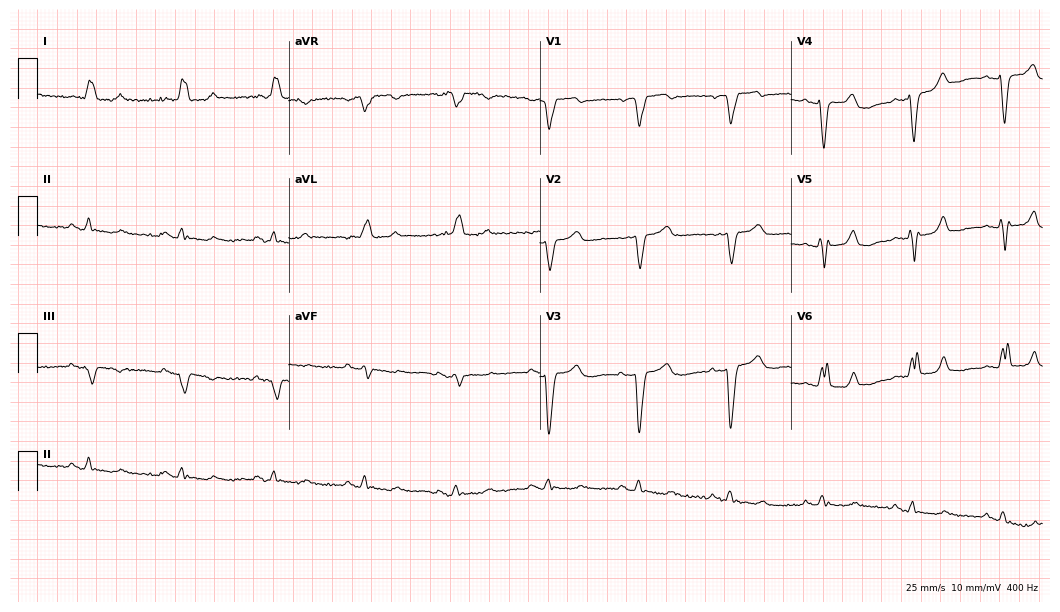
12-lead ECG from a female, 84 years old. Shows left bundle branch block.